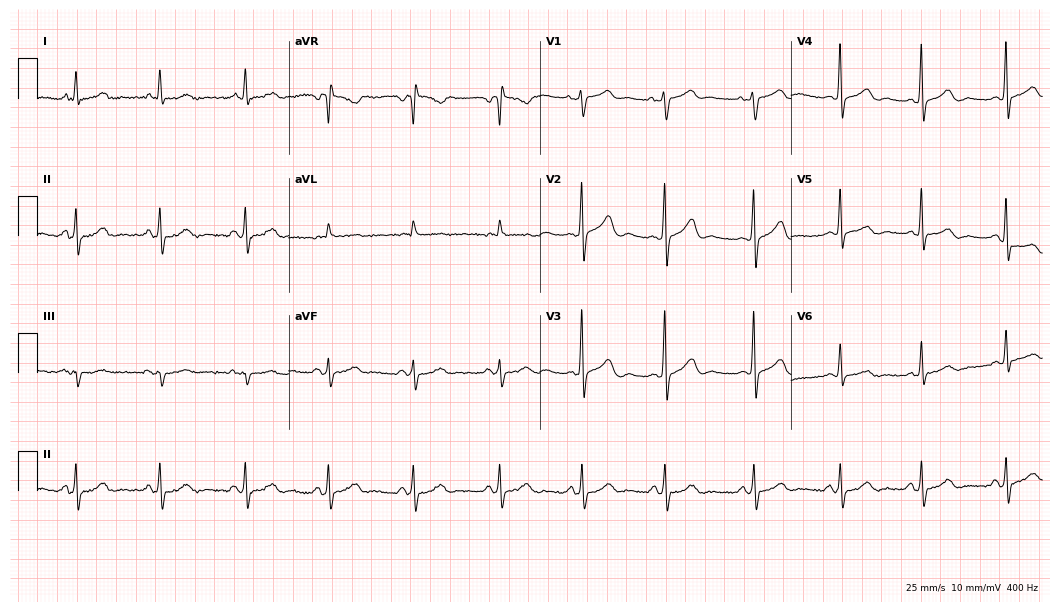
Resting 12-lead electrocardiogram (10.2-second recording at 400 Hz). Patient: a 68-year-old woman. None of these six findings is recorded: first-degree AV block, right bundle branch block, left bundle branch block, sinus bradycardia, atrial fibrillation, sinus tachycardia. Other findings, if any, are not listed.